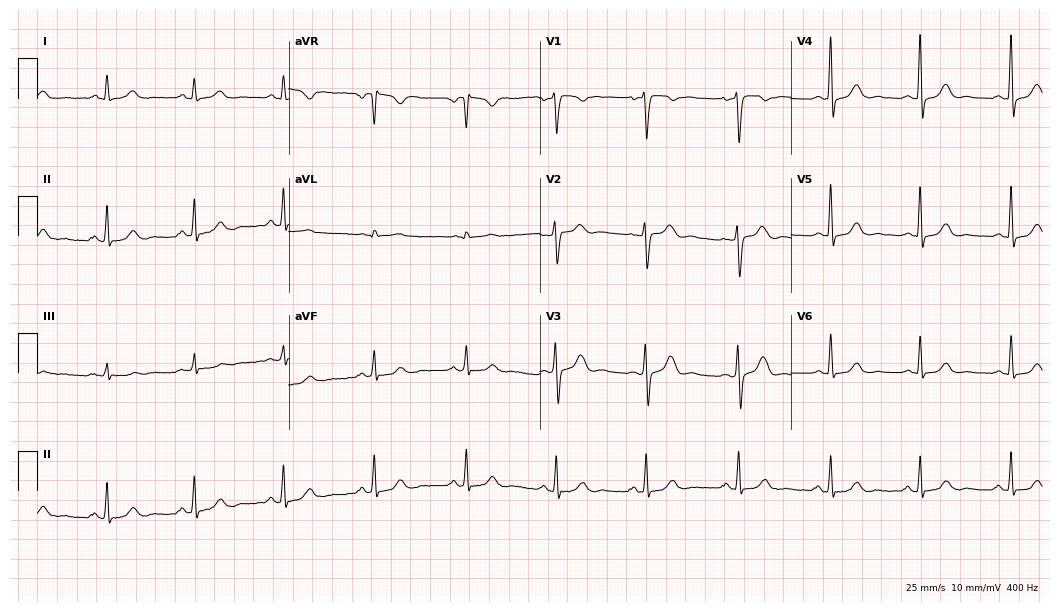
Standard 12-lead ECG recorded from a 33-year-old woman. Read as a normal ECG.